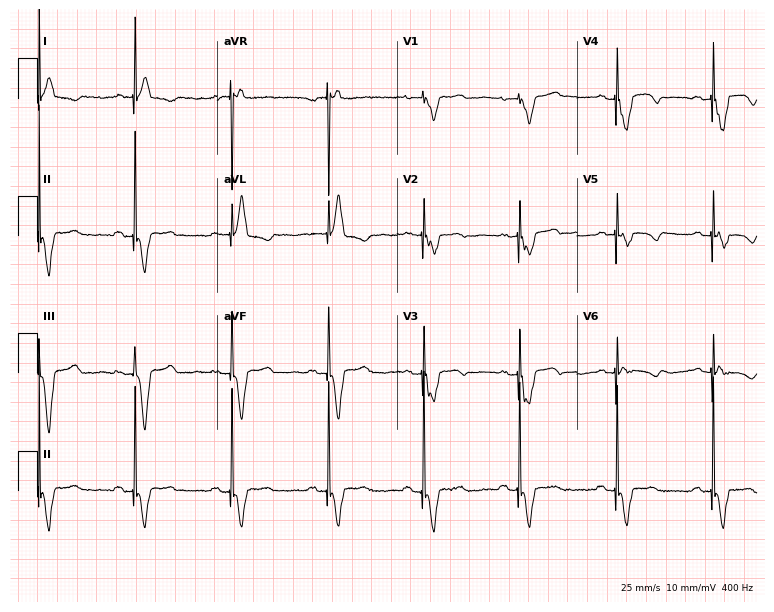
12-lead ECG from a 40-year-old female. Screened for six findings — first-degree AV block, right bundle branch block, left bundle branch block, sinus bradycardia, atrial fibrillation, sinus tachycardia — none is recorded.